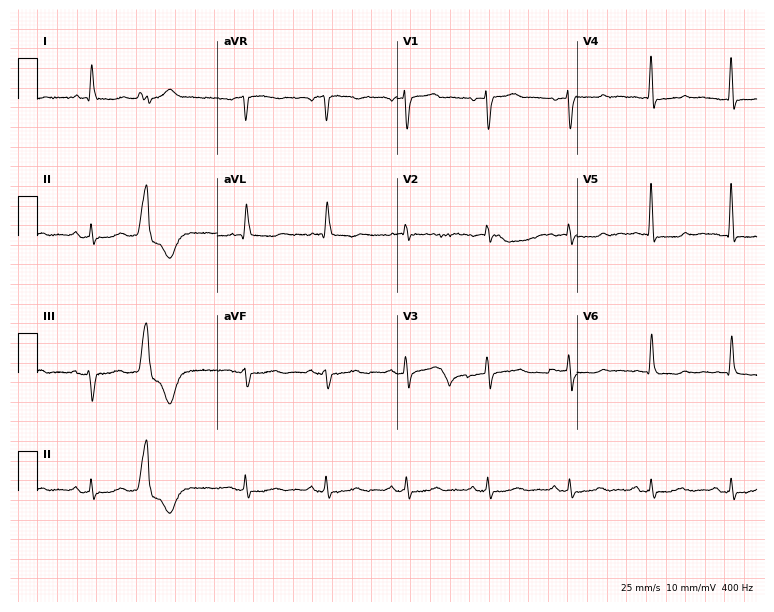
ECG — a male patient, 87 years old. Screened for six findings — first-degree AV block, right bundle branch block, left bundle branch block, sinus bradycardia, atrial fibrillation, sinus tachycardia — none is recorded.